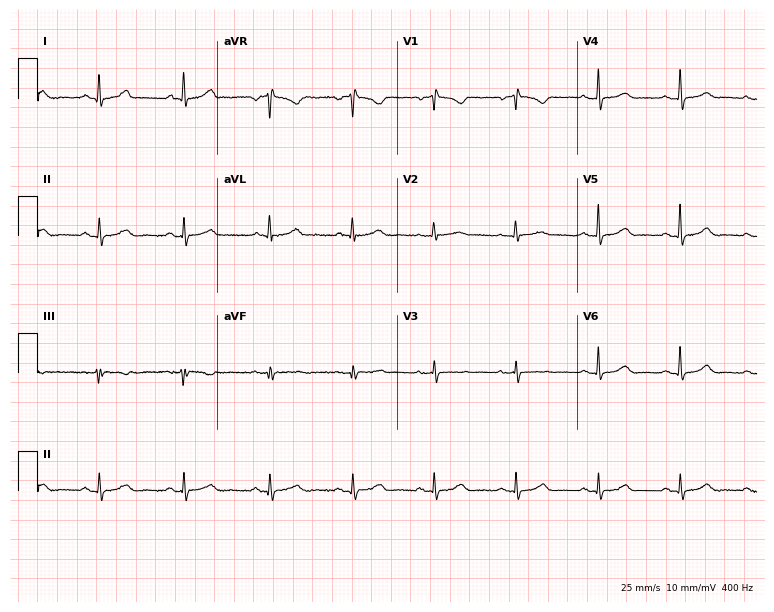
Standard 12-lead ECG recorded from a 61-year-old woman (7.3-second recording at 400 Hz). Read as a normal ECG.